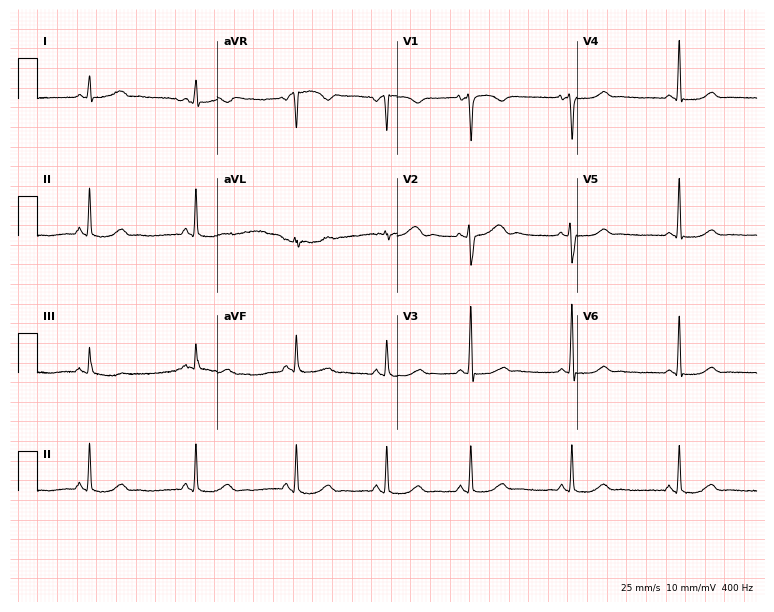
ECG — a woman, 32 years old. Labelled as a normal ECG.